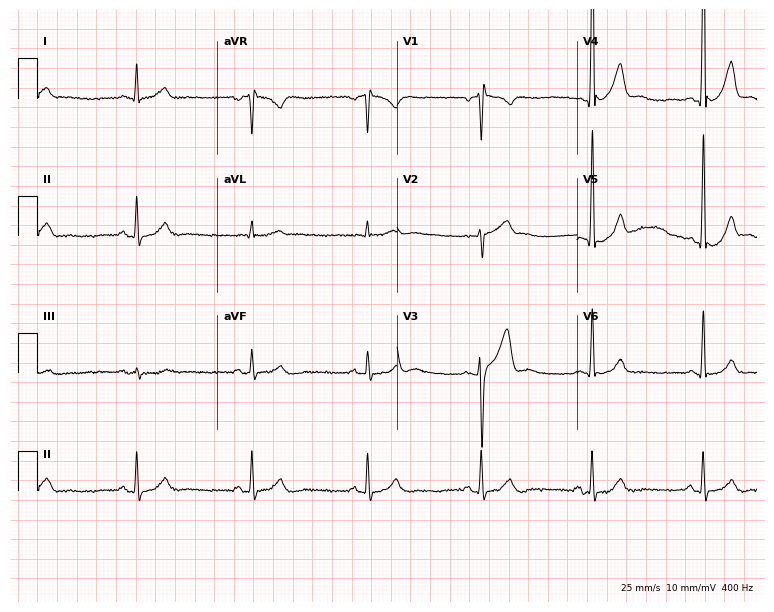
12-lead ECG from a 36-year-old male. Recorded interpretation: within normal limits.